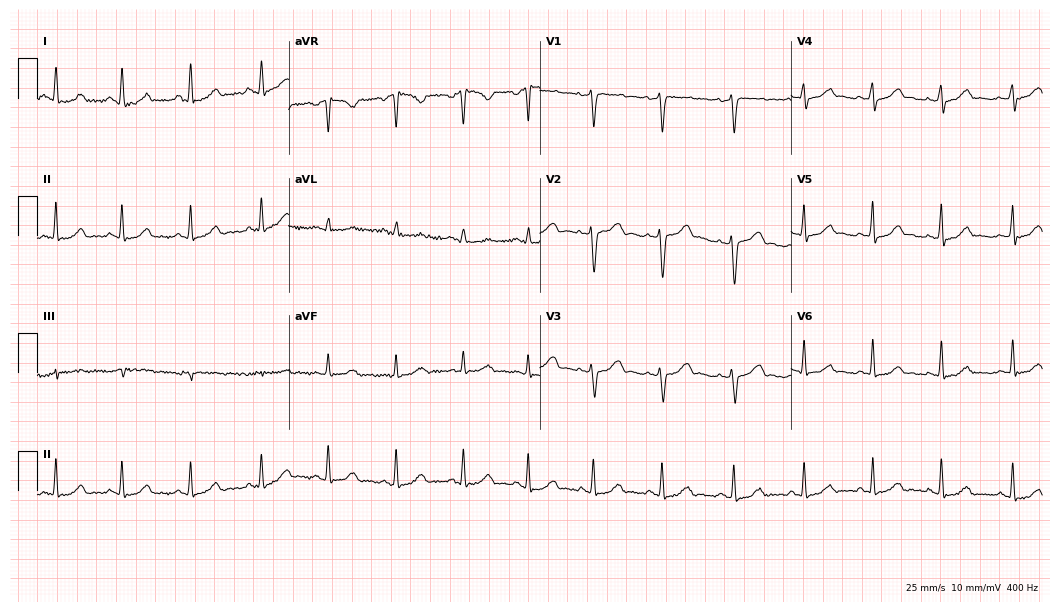
Resting 12-lead electrocardiogram (10.2-second recording at 400 Hz). Patient: a 30-year-old female. None of these six findings is recorded: first-degree AV block, right bundle branch block (RBBB), left bundle branch block (LBBB), sinus bradycardia, atrial fibrillation (AF), sinus tachycardia.